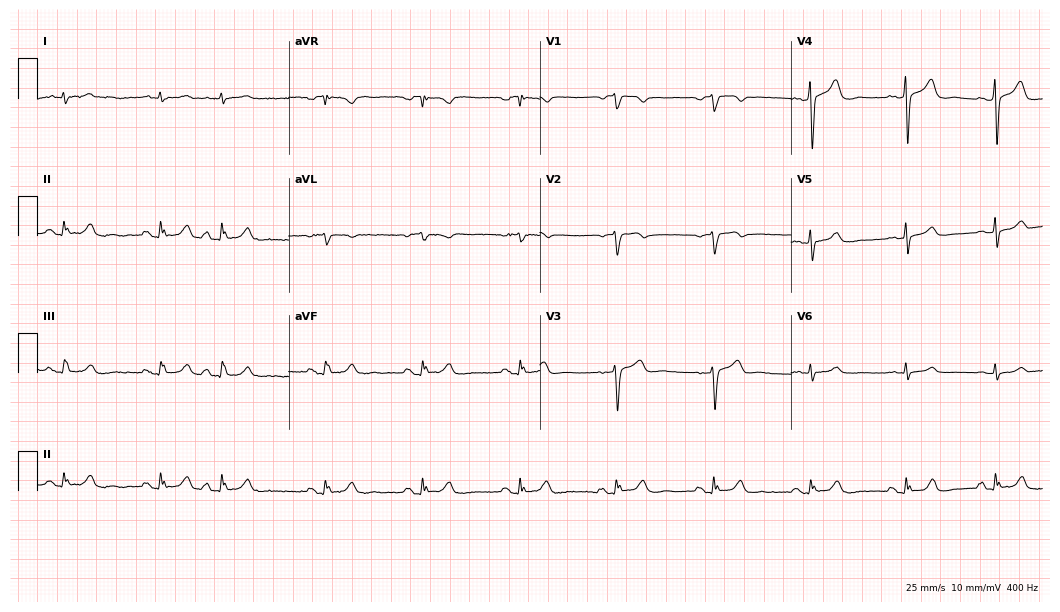
Standard 12-lead ECG recorded from a 45-year-old female patient. None of these six findings is recorded: first-degree AV block, right bundle branch block, left bundle branch block, sinus bradycardia, atrial fibrillation, sinus tachycardia. Other findings, if any, are not listed.